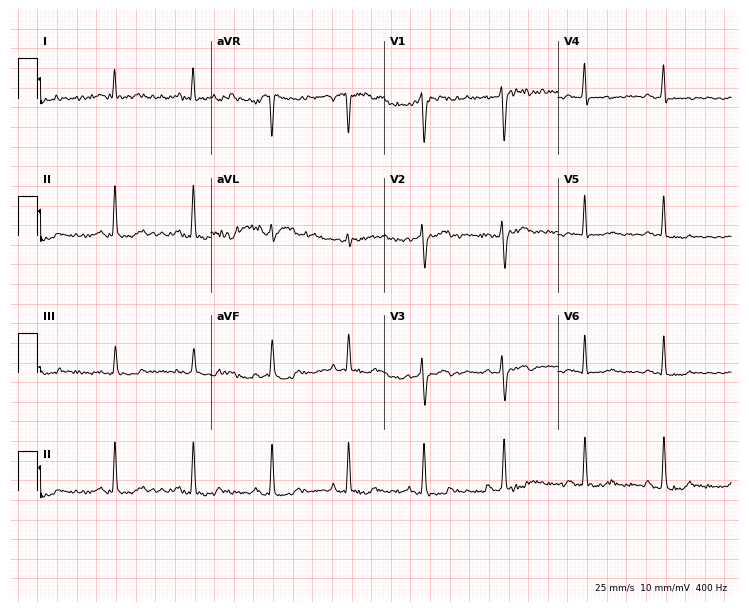
ECG (7.1-second recording at 400 Hz) — a 40-year-old woman. Screened for six findings — first-degree AV block, right bundle branch block, left bundle branch block, sinus bradycardia, atrial fibrillation, sinus tachycardia — none is recorded.